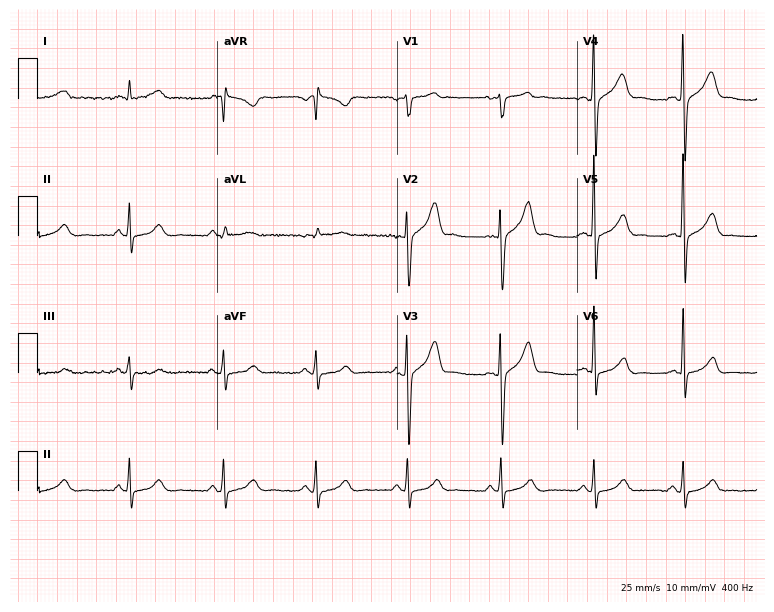
12-lead ECG from a 43-year-old male patient (7.3-second recording at 400 Hz). Recorded interpretation: within normal limits.